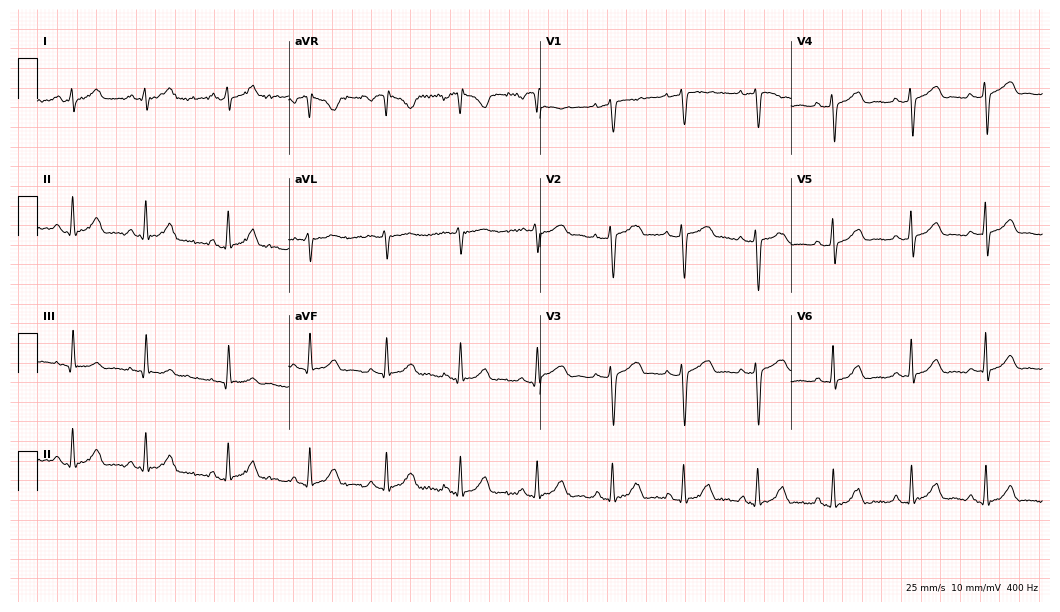
12-lead ECG (10.2-second recording at 400 Hz) from a female patient, 27 years old. Labelled as a normal ECG.